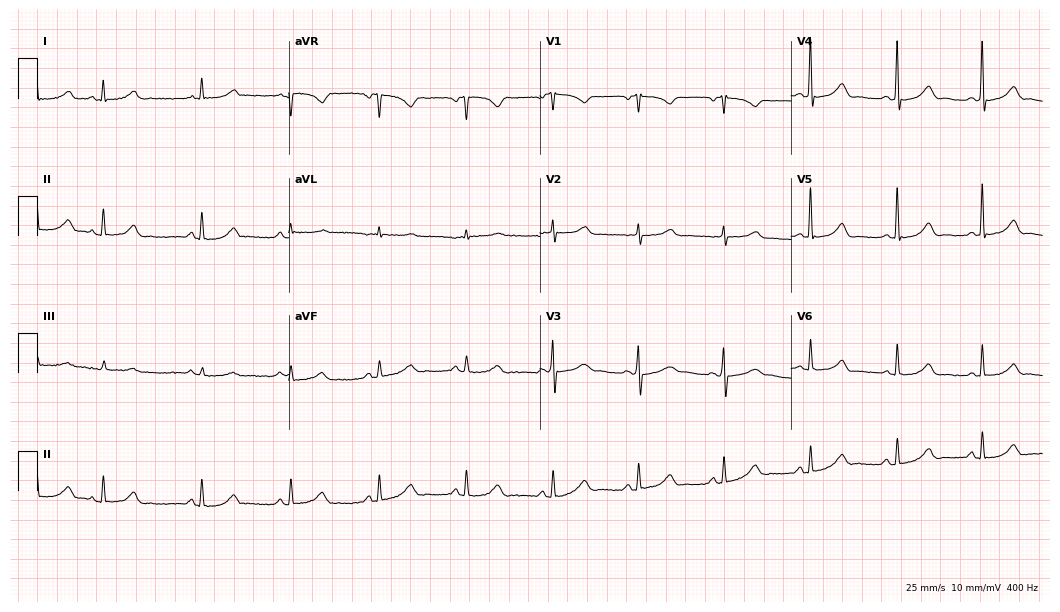
Electrocardiogram (10.2-second recording at 400 Hz), an 82-year-old female patient. Overall reading on record: normal ECG.